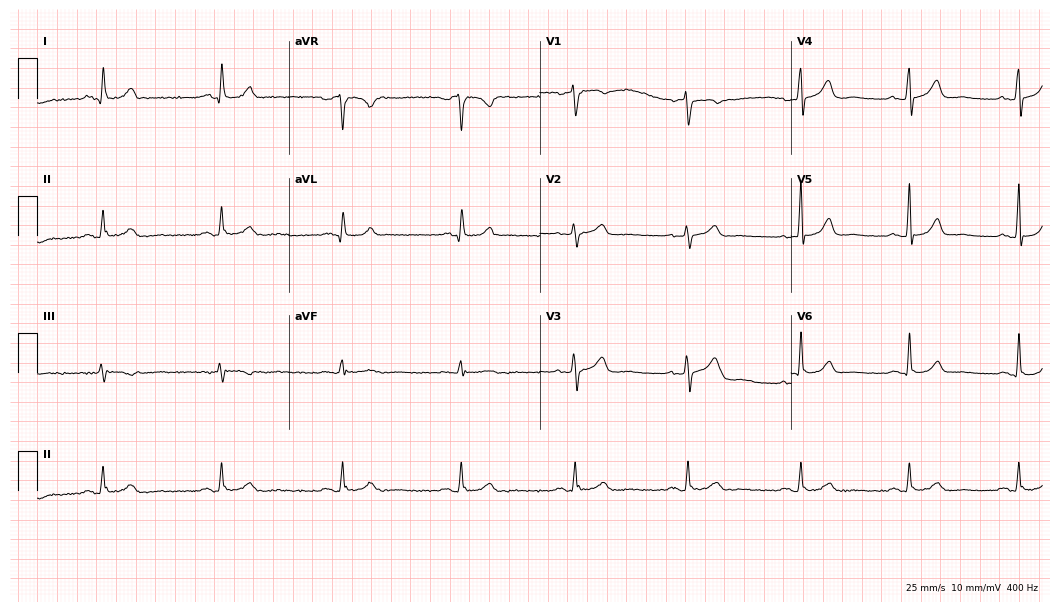
ECG — a 57-year-old woman. Screened for six findings — first-degree AV block, right bundle branch block (RBBB), left bundle branch block (LBBB), sinus bradycardia, atrial fibrillation (AF), sinus tachycardia — none is recorded. Other findings, if any, are not listed.